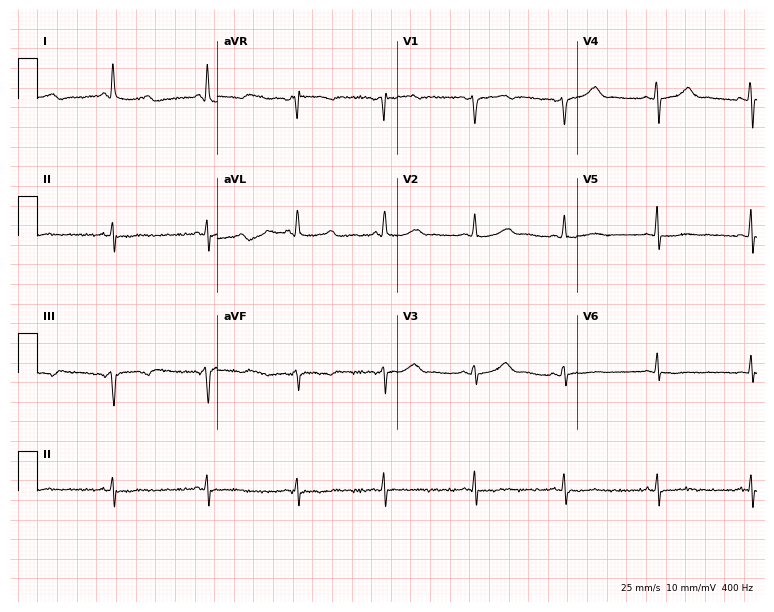
Resting 12-lead electrocardiogram (7.3-second recording at 400 Hz). Patient: a female, 57 years old. Read as a normal ECG.